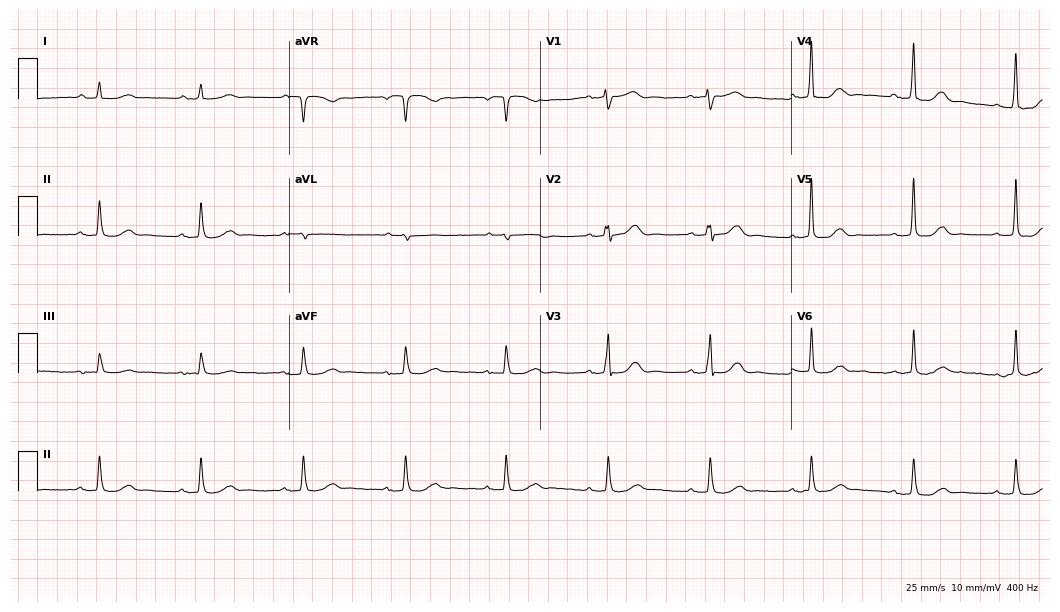
Electrocardiogram, an 85-year-old female. Of the six screened findings (first-degree AV block, right bundle branch block (RBBB), left bundle branch block (LBBB), sinus bradycardia, atrial fibrillation (AF), sinus tachycardia), none is recorded.